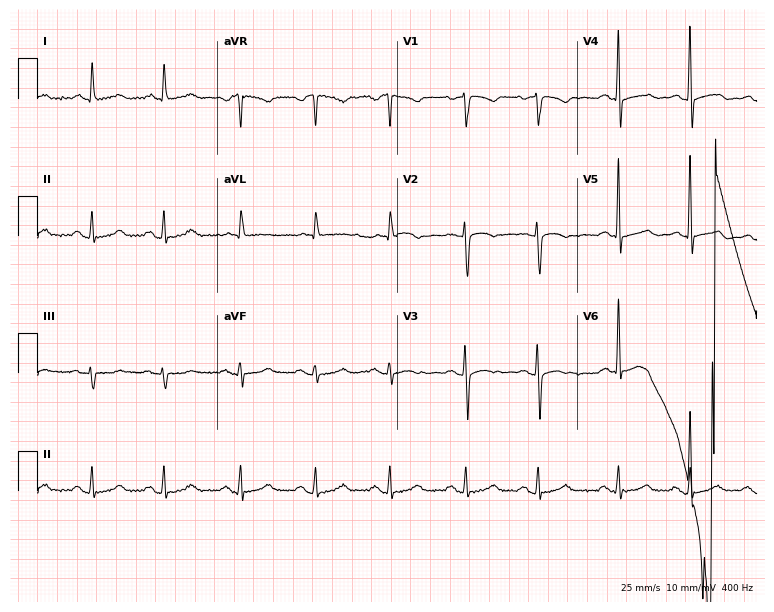
ECG — a female patient, 61 years old. Screened for six findings — first-degree AV block, right bundle branch block (RBBB), left bundle branch block (LBBB), sinus bradycardia, atrial fibrillation (AF), sinus tachycardia — none is recorded. Only these six findings were labelled.